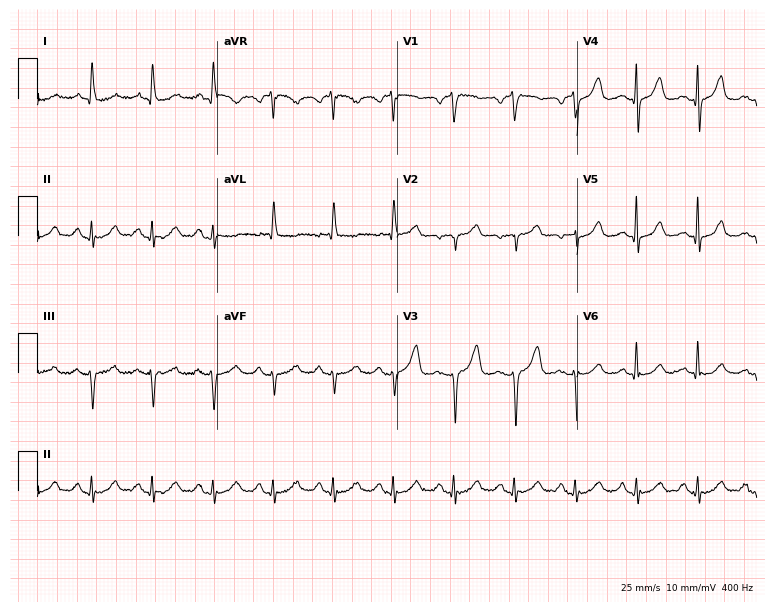
Standard 12-lead ECG recorded from a female patient, 65 years old (7.3-second recording at 400 Hz). None of these six findings is recorded: first-degree AV block, right bundle branch block (RBBB), left bundle branch block (LBBB), sinus bradycardia, atrial fibrillation (AF), sinus tachycardia. Other findings, if any, are not listed.